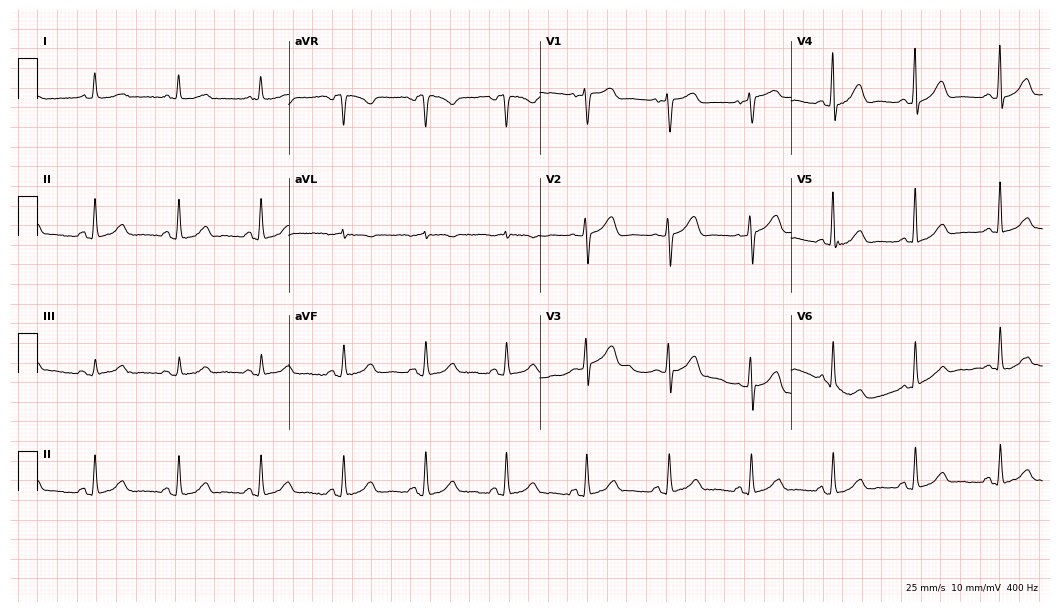
Resting 12-lead electrocardiogram. Patient: a woman, 71 years old. None of these six findings is recorded: first-degree AV block, right bundle branch block, left bundle branch block, sinus bradycardia, atrial fibrillation, sinus tachycardia.